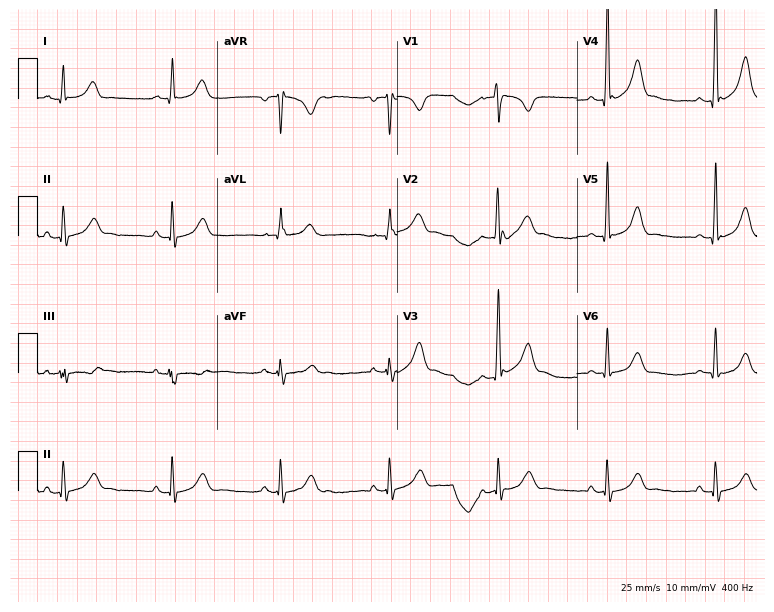
Standard 12-lead ECG recorded from a male patient, 24 years old (7.3-second recording at 400 Hz). Read as a normal ECG.